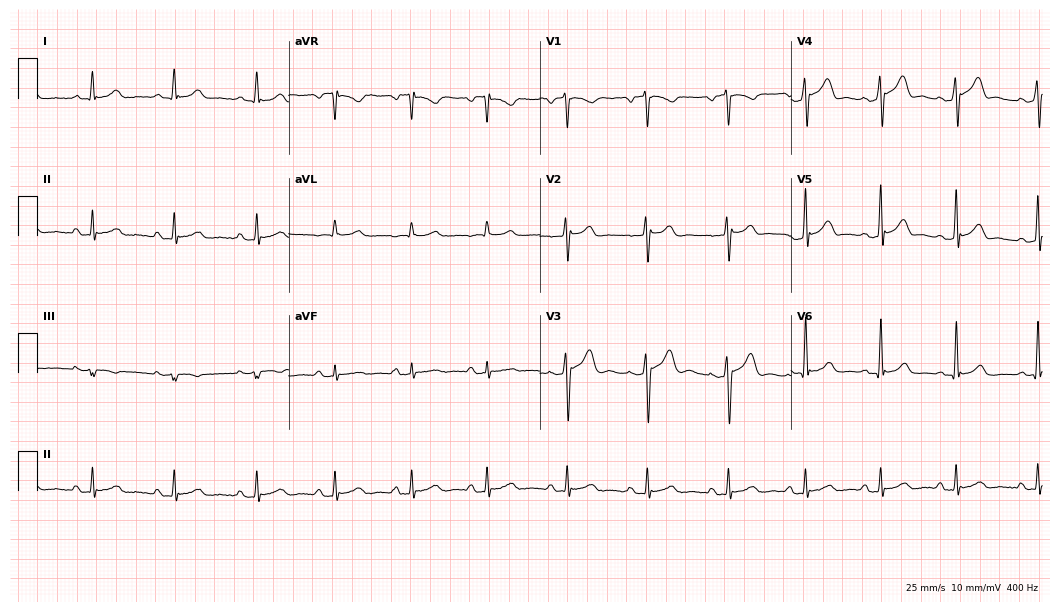
ECG (10.2-second recording at 400 Hz) — a male, 32 years old. Labelled as a normal ECG.